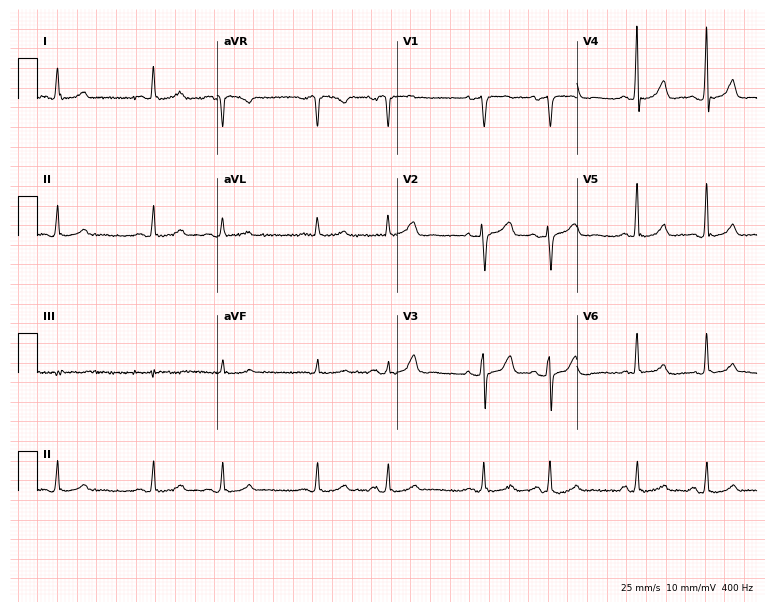
ECG — a 66-year-old woman. Screened for six findings — first-degree AV block, right bundle branch block, left bundle branch block, sinus bradycardia, atrial fibrillation, sinus tachycardia — none is recorded.